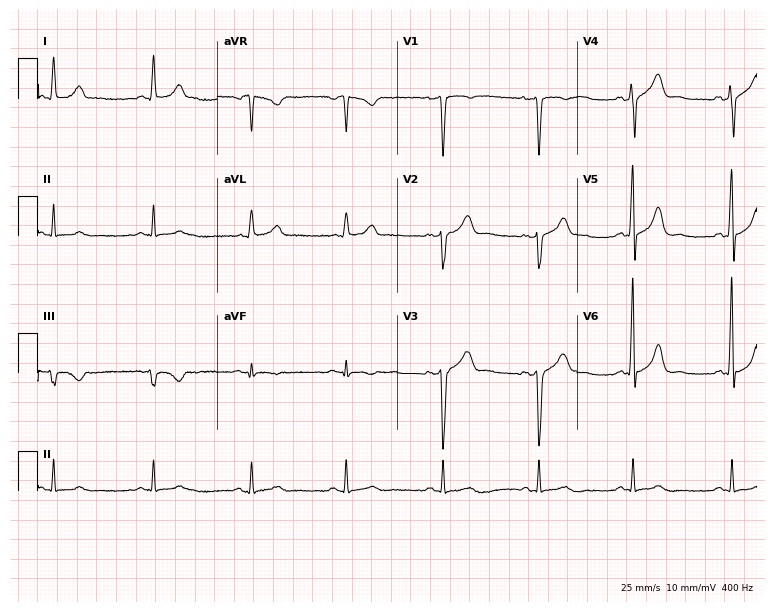
Standard 12-lead ECG recorded from a male, 40 years old (7.3-second recording at 400 Hz). None of these six findings is recorded: first-degree AV block, right bundle branch block, left bundle branch block, sinus bradycardia, atrial fibrillation, sinus tachycardia.